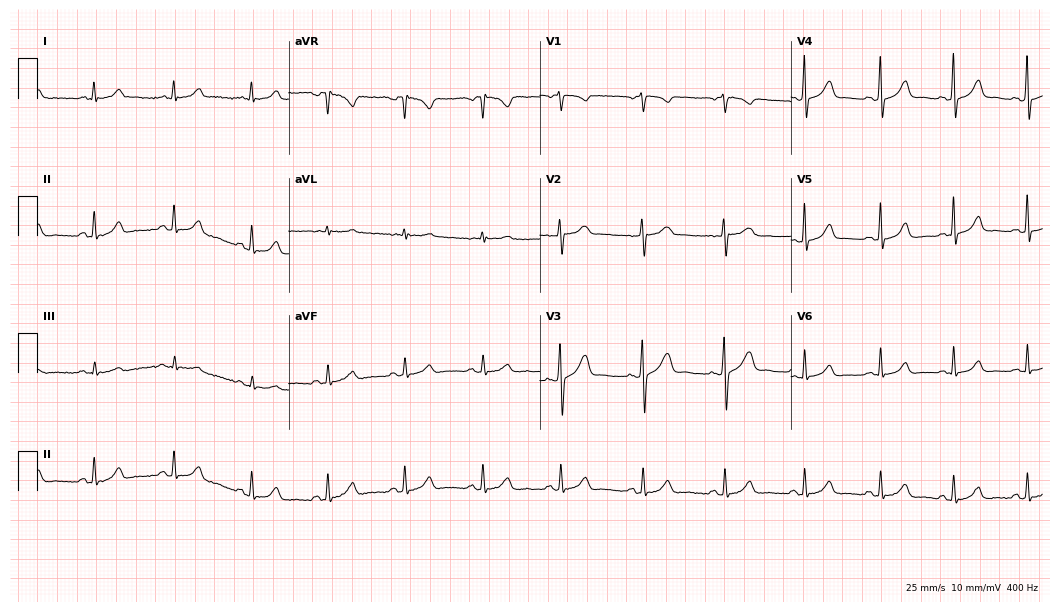
12-lead ECG from a 25-year-old female (10.2-second recording at 400 Hz). Recorded interpretation: within normal limits.